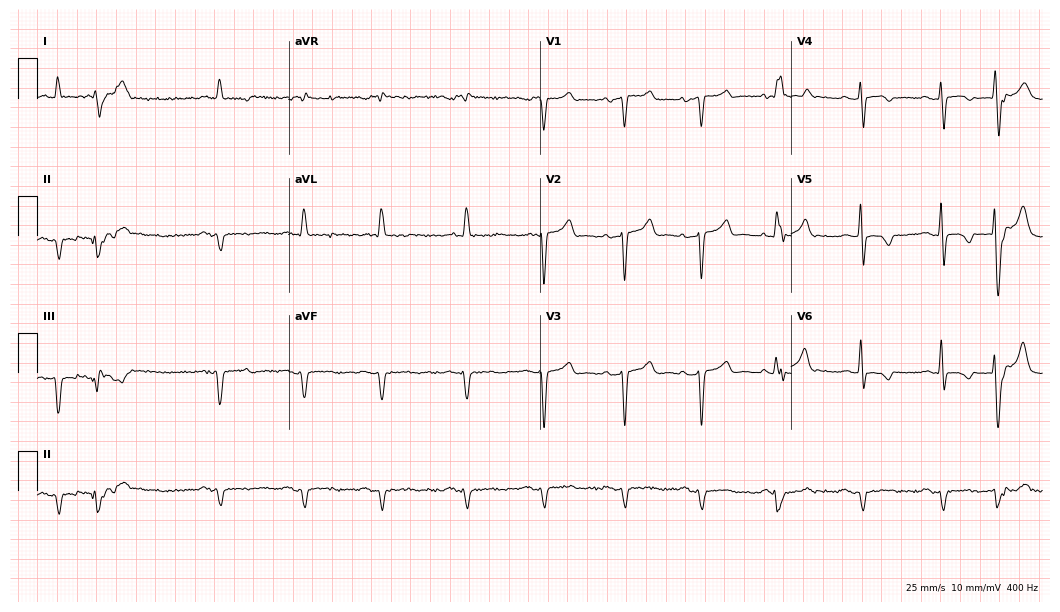
12-lead ECG from a 74-year-old male patient (10.2-second recording at 400 Hz). No first-degree AV block, right bundle branch block (RBBB), left bundle branch block (LBBB), sinus bradycardia, atrial fibrillation (AF) or sinus tachycardia recorded for this tracing. Other findings, if any, are not listed.